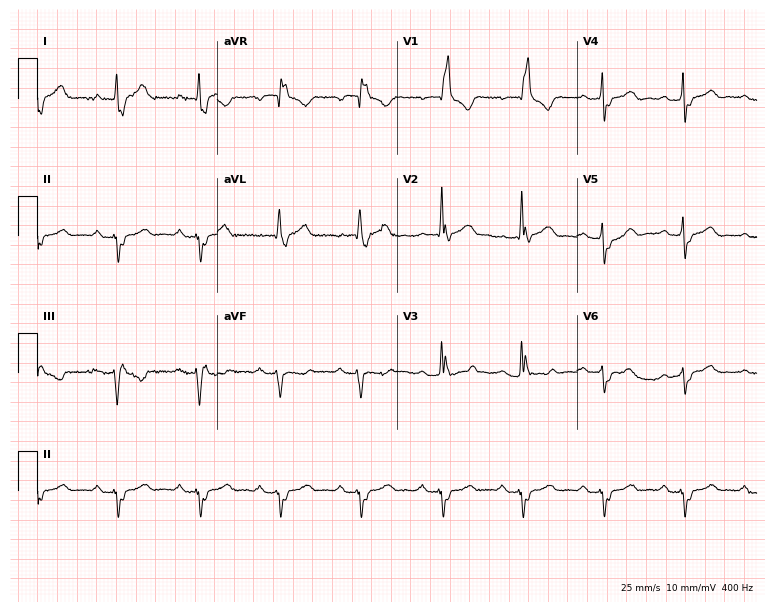
12-lead ECG from a male, 85 years old. Shows right bundle branch block.